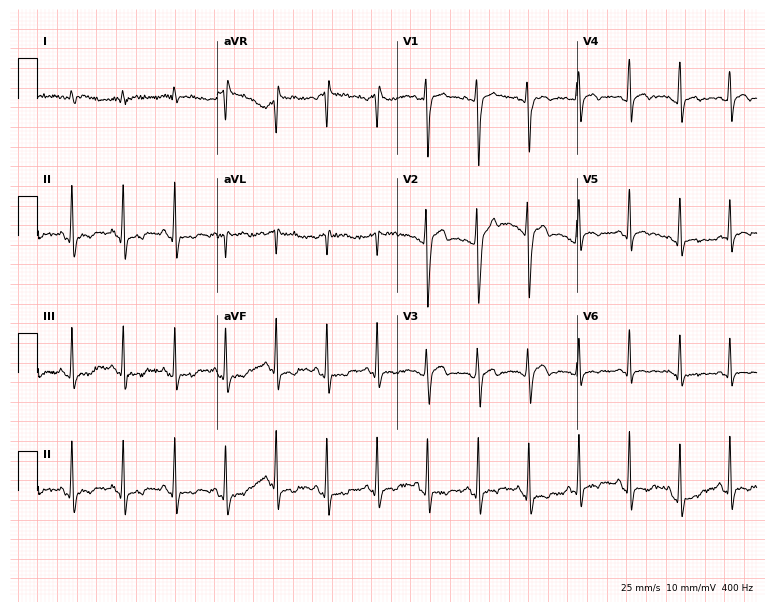
ECG — a man, 24 years old. Findings include sinus tachycardia (a sinus rate of 100 beats per minute or more).